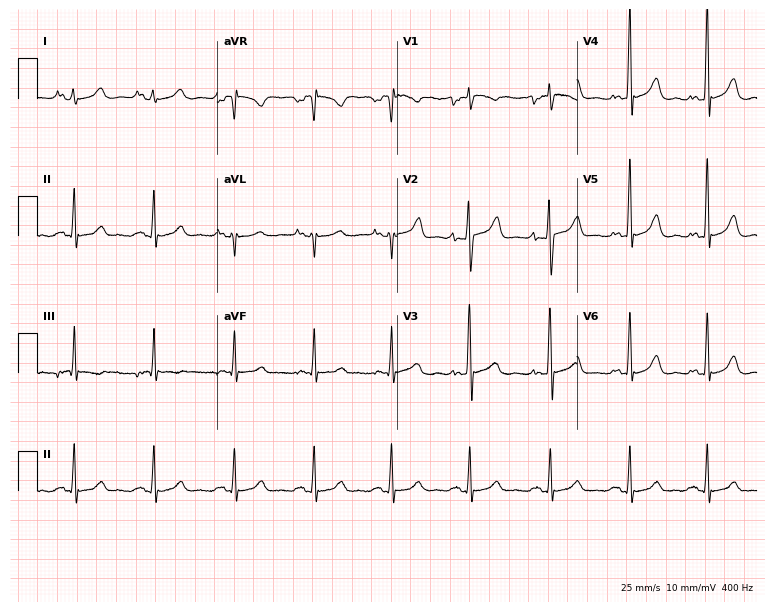
12-lead ECG (7.3-second recording at 400 Hz) from a 27-year-old woman. Screened for six findings — first-degree AV block, right bundle branch block (RBBB), left bundle branch block (LBBB), sinus bradycardia, atrial fibrillation (AF), sinus tachycardia — none is recorded. Findings outside these six are not listed.